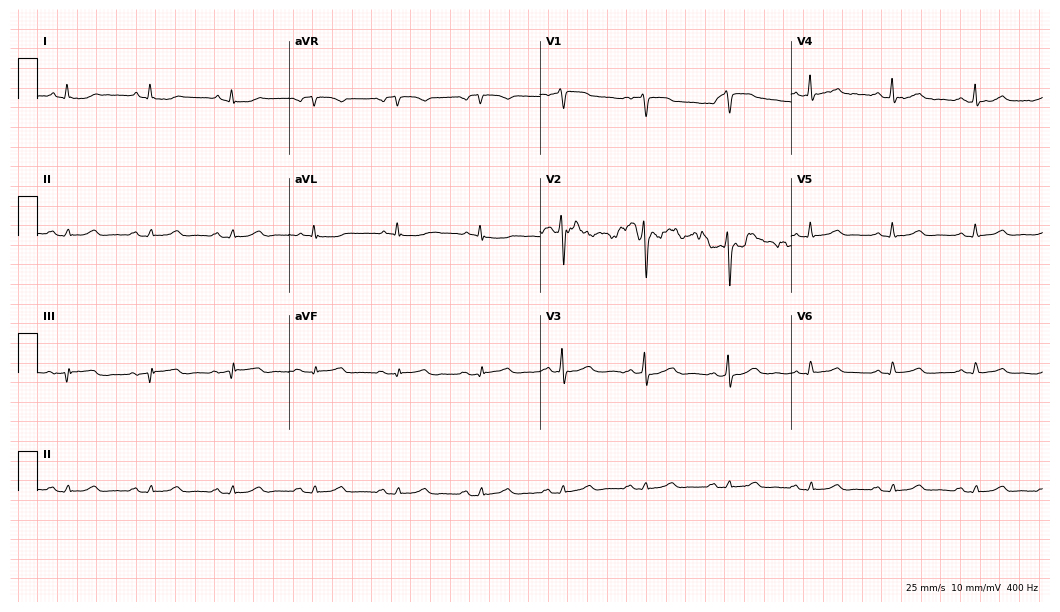
12-lead ECG from a 52-year-old man. No first-degree AV block, right bundle branch block, left bundle branch block, sinus bradycardia, atrial fibrillation or sinus tachycardia recorded for this tracing.